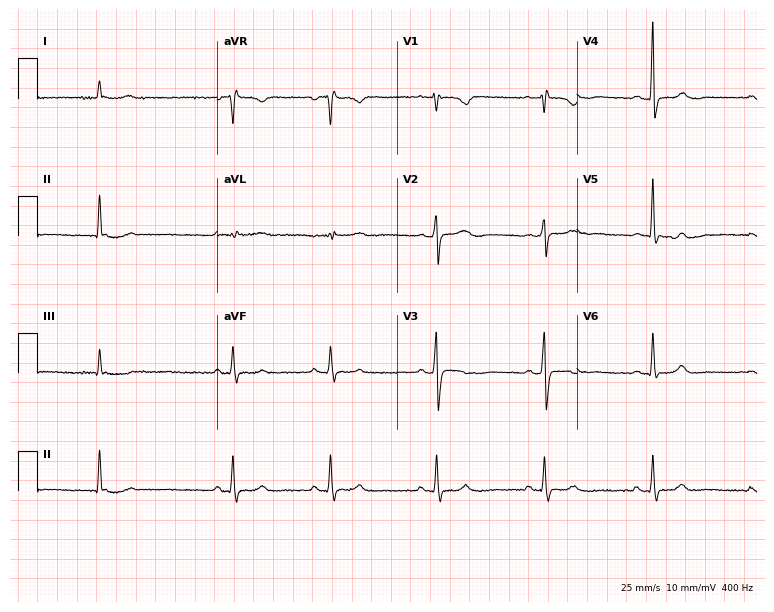
Standard 12-lead ECG recorded from a female patient, 58 years old. None of these six findings is recorded: first-degree AV block, right bundle branch block (RBBB), left bundle branch block (LBBB), sinus bradycardia, atrial fibrillation (AF), sinus tachycardia.